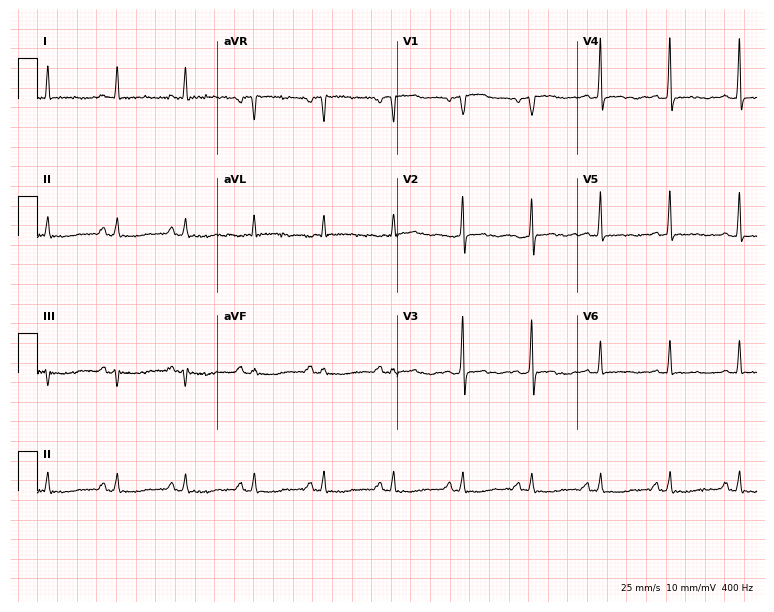
Electrocardiogram (7.3-second recording at 400 Hz), a female, 60 years old. Of the six screened findings (first-degree AV block, right bundle branch block, left bundle branch block, sinus bradycardia, atrial fibrillation, sinus tachycardia), none is recorded.